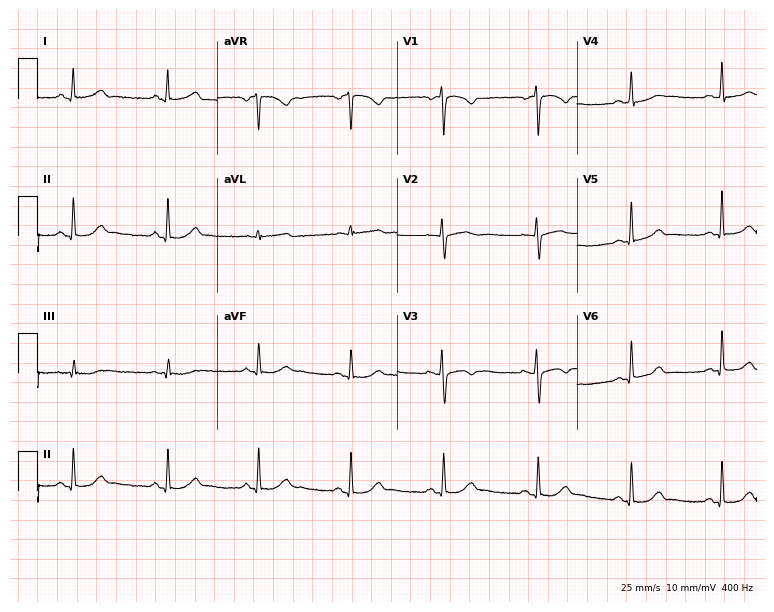
12-lead ECG (7.3-second recording at 400 Hz) from a 40-year-old male. Labelled as a normal ECG.